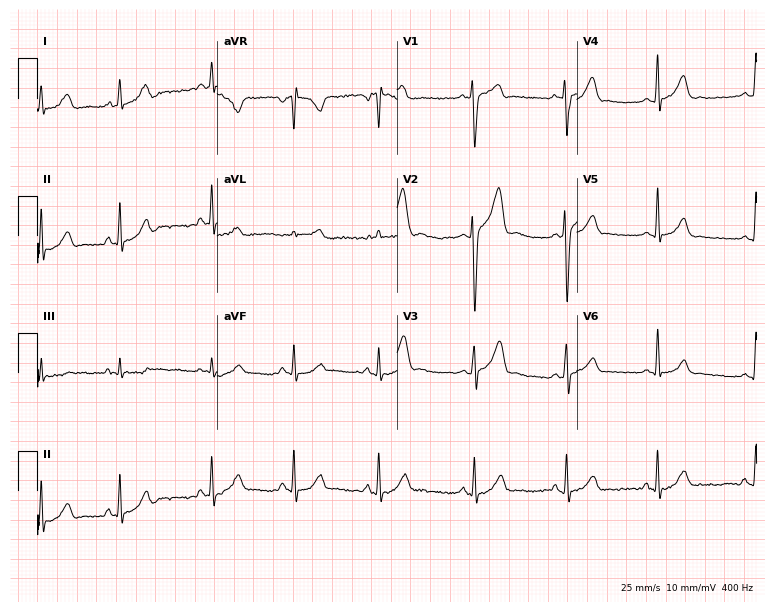
ECG (7.3-second recording at 400 Hz) — a 25-year-old male. Screened for six findings — first-degree AV block, right bundle branch block (RBBB), left bundle branch block (LBBB), sinus bradycardia, atrial fibrillation (AF), sinus tachycardia — none is recorded.